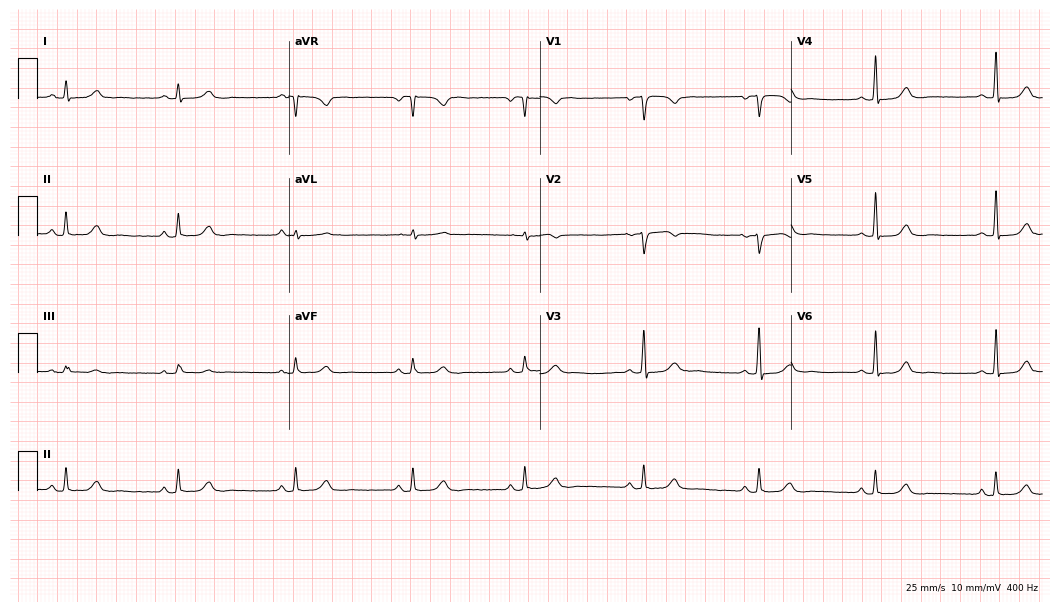
Standard 12-lead ECG recorded from a 41-year-old female (10.2-second recording at 400 Hz). The tracing shows sinus bradycardia (a sinus rate of 50 beats per minute or less).